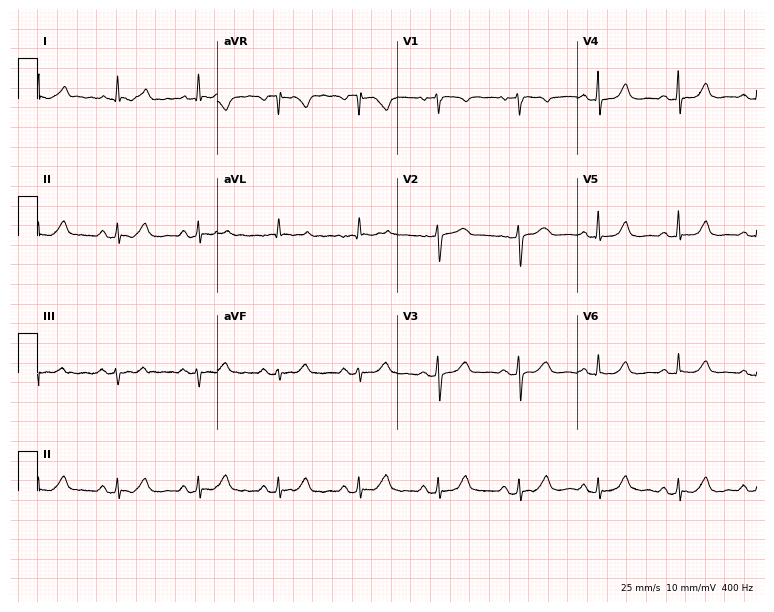
Electrocardiogram, a female patient, 61 years old. Overall reading on record: normal ECG.